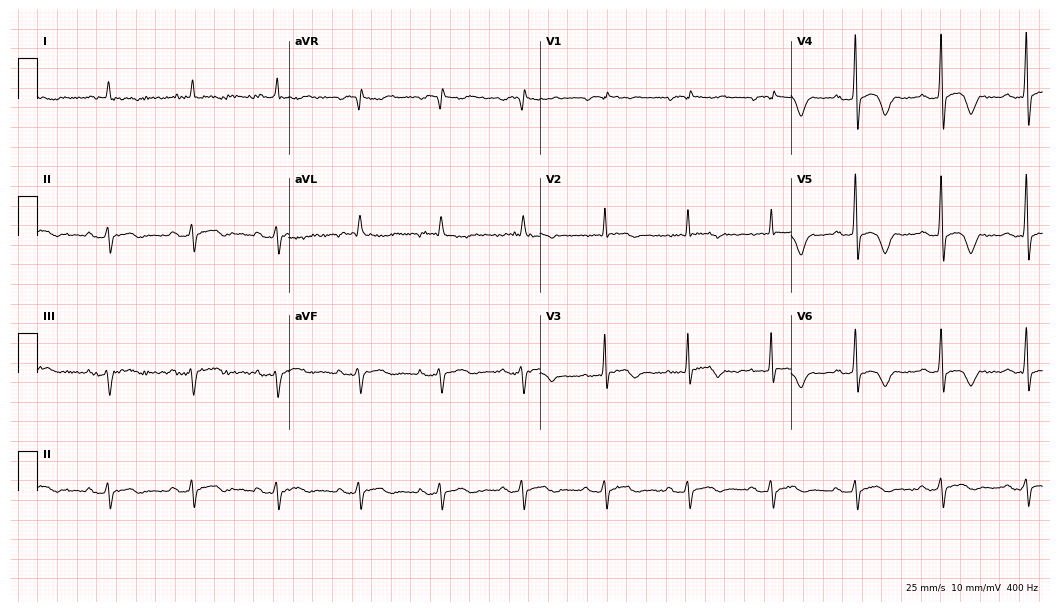
Resting 12-lead electrocardiogram (10.2-second recording at 400 Hz). Patient: a female, 84 years old. None of these six findings is recorded: first-degree AV block, right bundle branch block, left bundle branch block, sinus bradycardia, atrial fibrillation, sinus tachycardia. Findings outside these six are not listed.